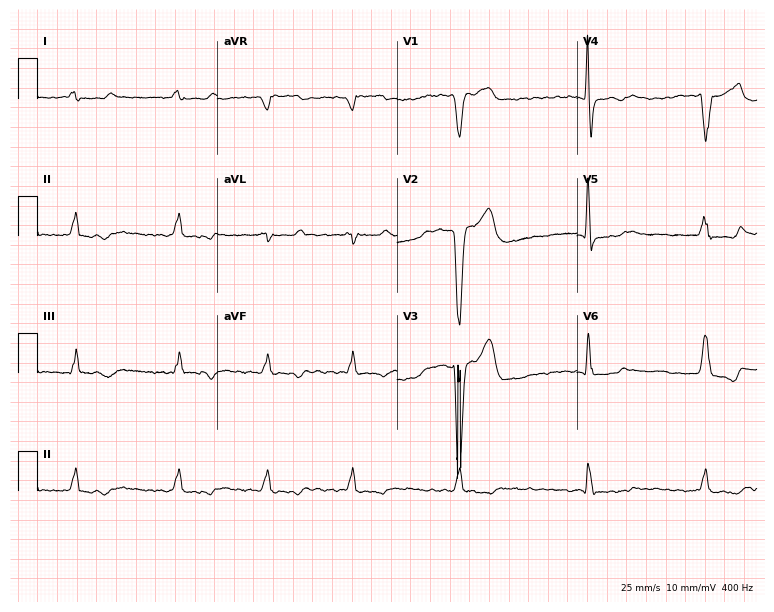
Resting 12-lead electrocardiogram (7.3-second recording at 400 Hz). Patient: a 70-year-old man. None of these six findings is recorded: first-degree AV block, right bundle branch block, left bundle branch block, sinus bradycardia, atrial fibrillation, sinus tachycardia. Only these six findings were labelled.